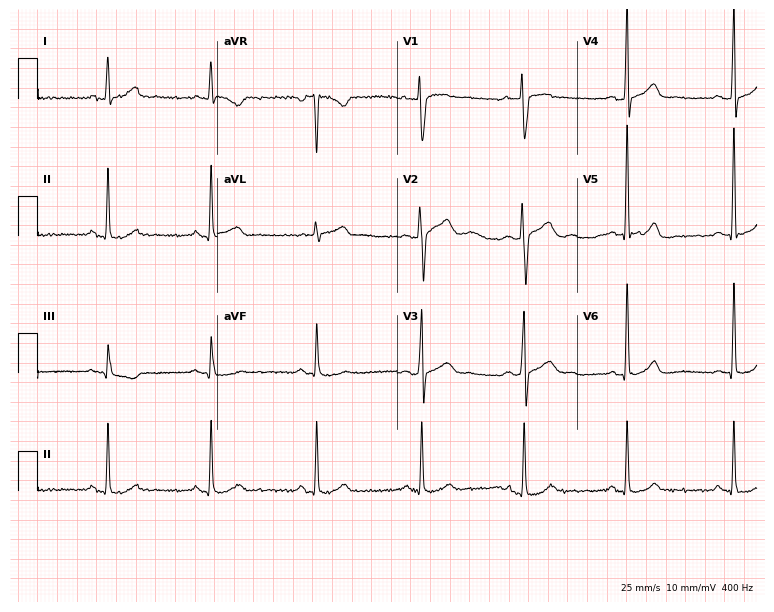
12-lead ECG (7.3-second recording at 400 Hz) from a 69-year-old male. Screened for six findings — first-degree AV block, right bundle branch block (RBBB), left bundle branch block (LBBB), sinus bradycardia, atrial fibrillation (AF), sinus tachycardia — none is recorded. Only these six findings were labelled.